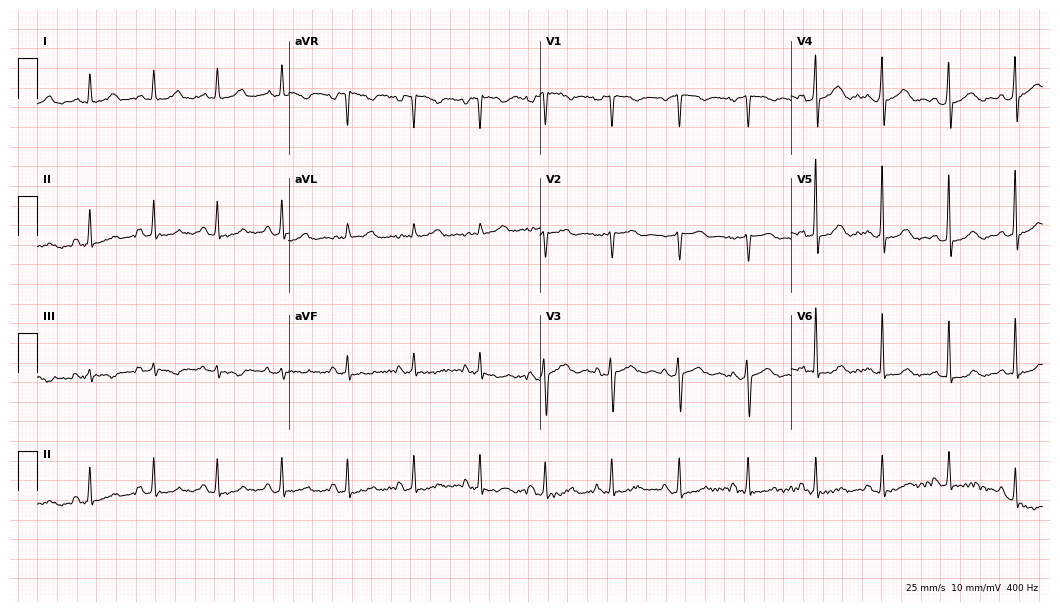
Electrocardiogram, a 54-year-old female. Of the six screened findings (first-degree AV block, right bundle branch block, left bundle branch block, sinus bradycardia, atrial fibrillation, sinus tachycardia), none is recorded. Other findings, if any, are not listed.